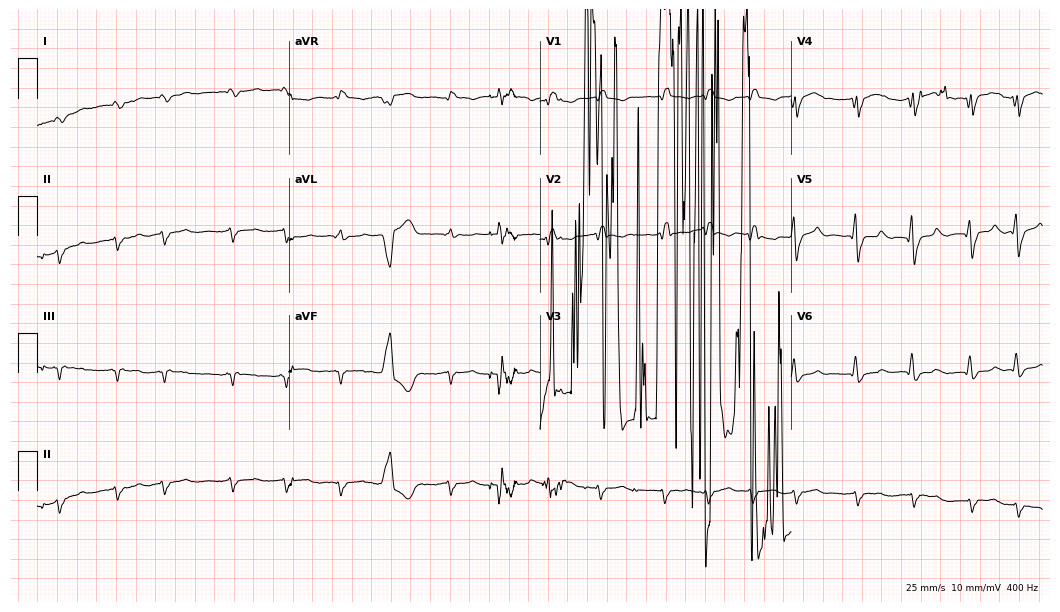
12-lead ECG from a woman, 67 years old. No first-degree AV block, right bundle branch block (RBBB), left bundle branch block (LBBB), sinus bradycardia, atrial fibrillation (AF) or sinus tachycardia recorded for this tracing. Other findings, if any, are not listed.